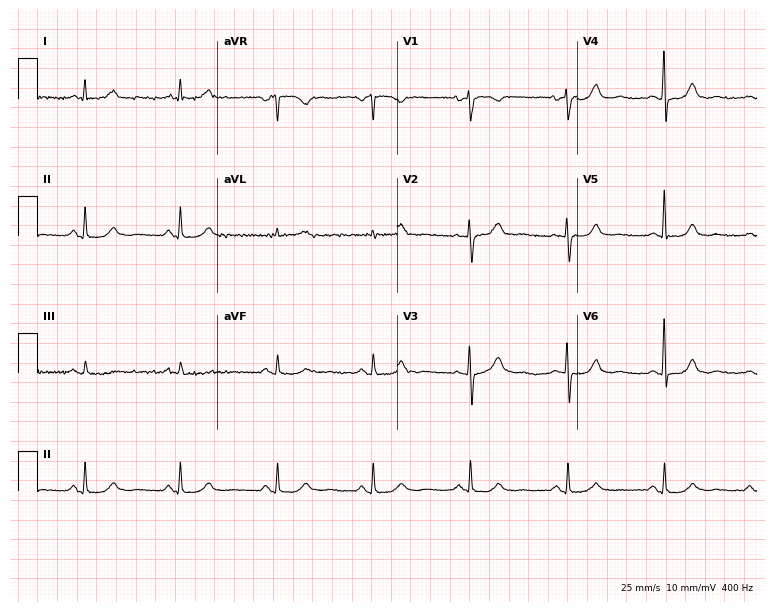
Electrocardiogram, a woman, 75 years old. Overall reading on record: normal ECG.